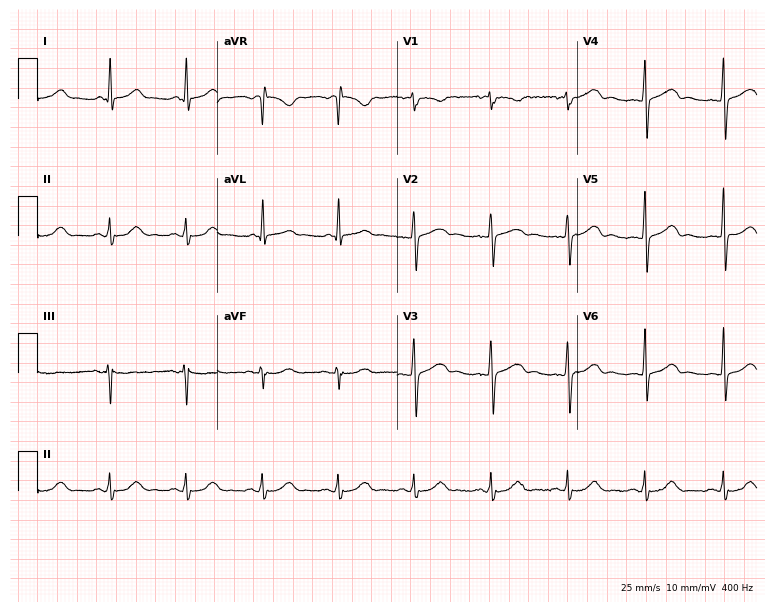
ECG — a 53-year-old female. Labelled as a normal ECG.